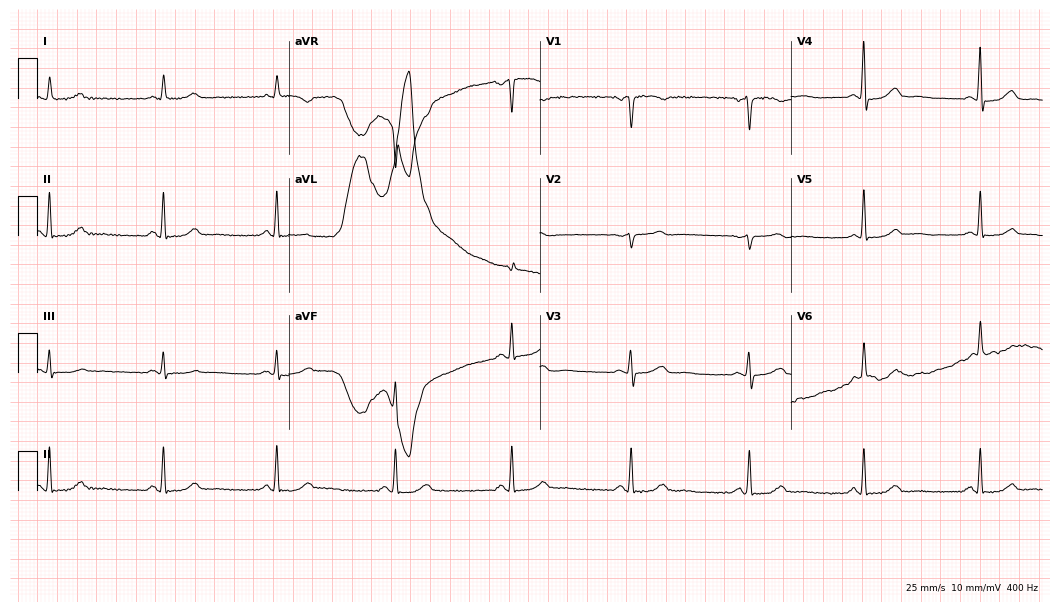
Electrocardiogram (10.2-second recording at 400 Hz), a 67-year-old female patient. Of the six screened findings (first-degree AV block, right bundle branch block (RBBB), left bundle branch block (LBBB), sinus bradycardia, atrial fibrillation (AF), sinus tachycardia), none is recorded.